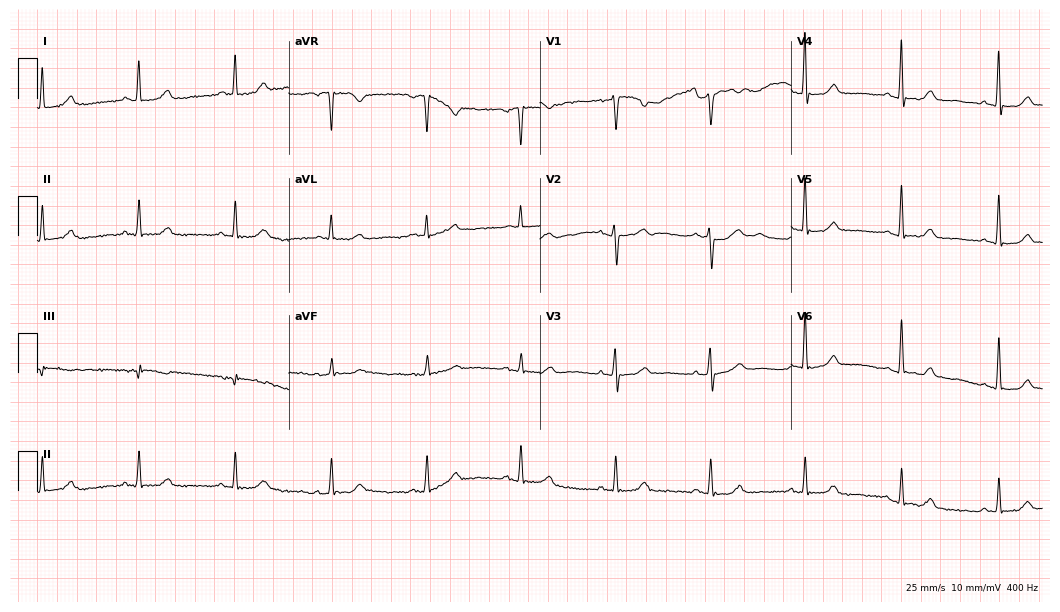
12-lead ECG from a 70-year-old woman (10.2-second recording at 400 Hz). Recorded interpretation: within normal limits.